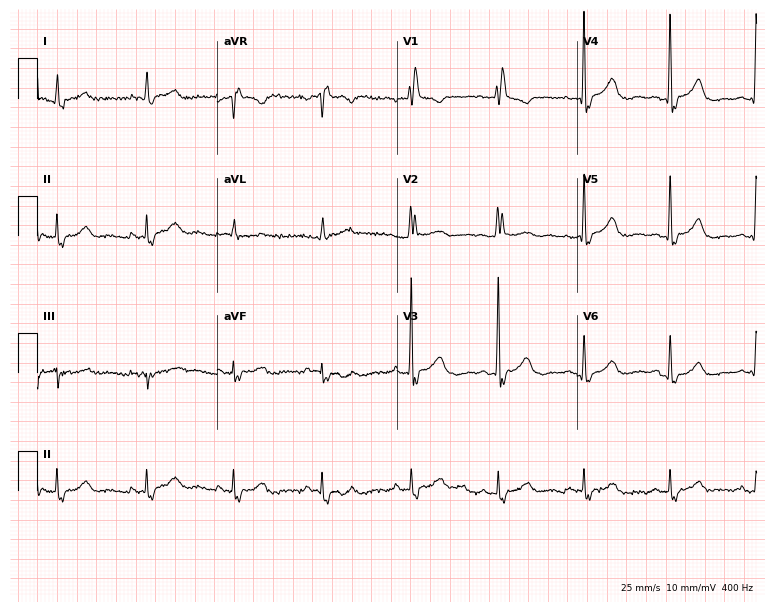
Electrocardiogram, a female patient, 64 years old. Interpretation includes right bundle branch block.